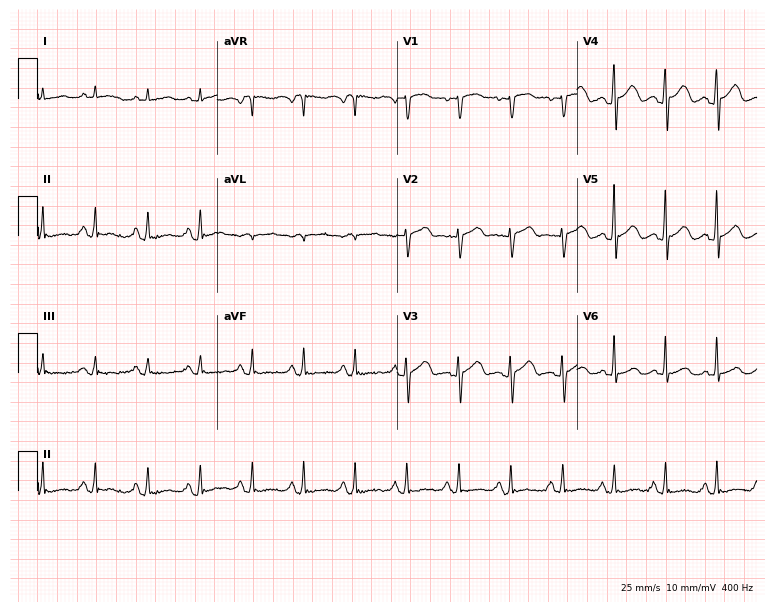
12-lead ECG from a 42-year-old male patient. Shows sinus tachycardia (a sinus rate of 100 beats per minute or more).